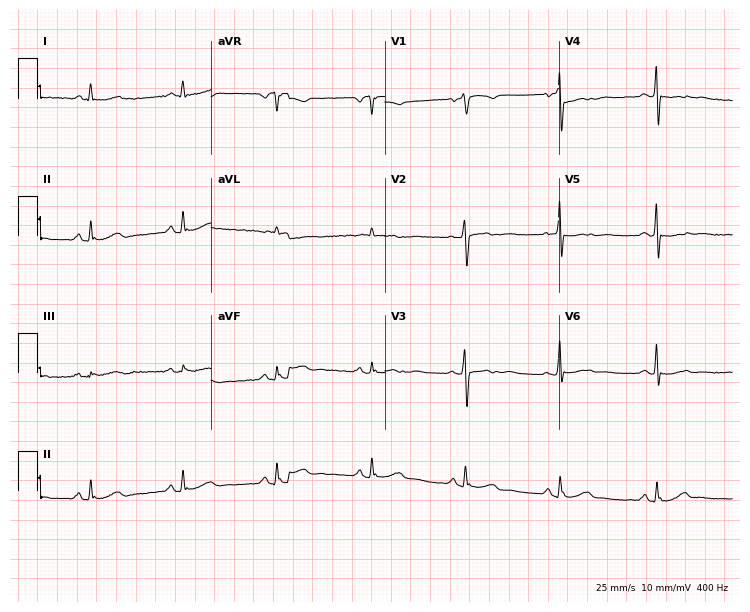
12-lead ECG from a 53-year-old man (7.1-second recording at 400 Hz). No first-degree AV block, right bundle branch block, left bundle branch block, sinus bradycardia, atrial fibrillation or sinus tachycardia recorded for this tracing. Findings outside these six are not listed.